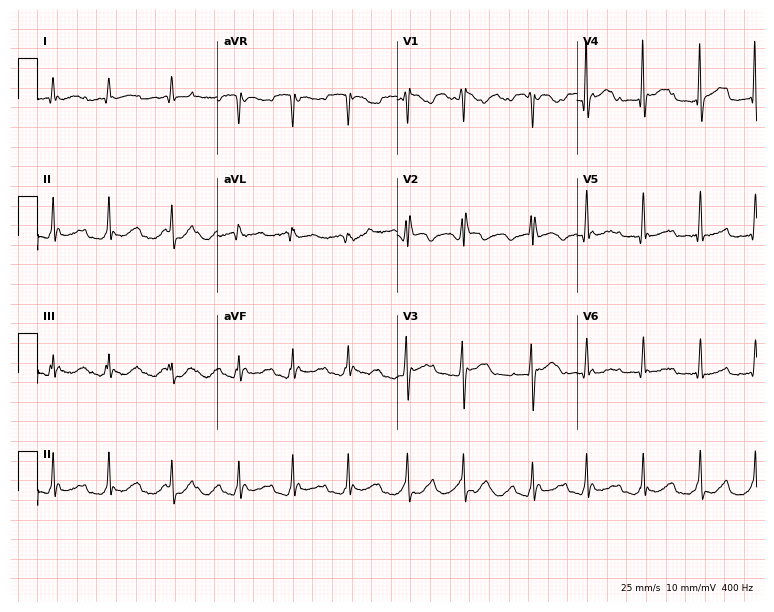
Electrocardiogram, a man, 57 years old. Interpretation includes atrial fibrillation.